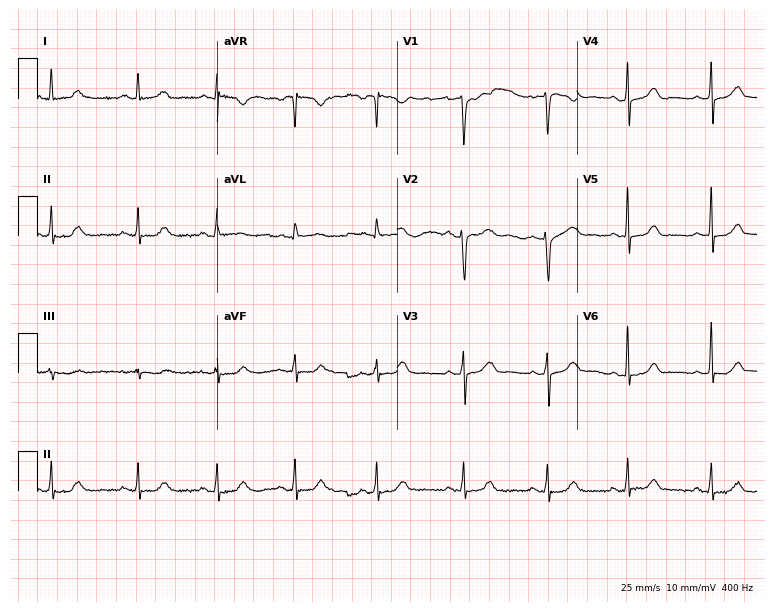
Electrocardiogram (7.3-second recording at 400 Hz), a woman, 37 years old. Overall reading on record: normal ECG.